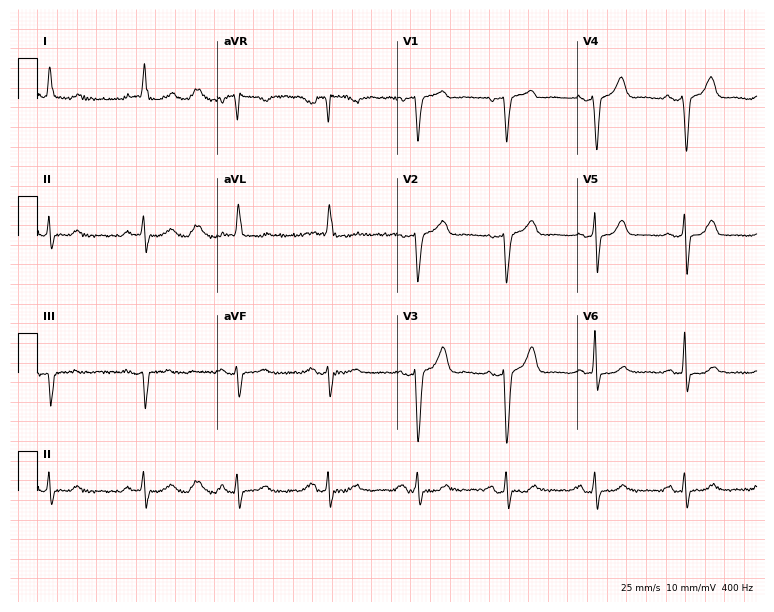
Electrocardiogram, a 72-year-old male. Of the six screened findings (first-degree AV block, right bundle branch block, left bundle branch block, sinus bradycardia, atrial fibrillation, sinus tachycardia), none is recorded. Other findings, if any, are not listed.